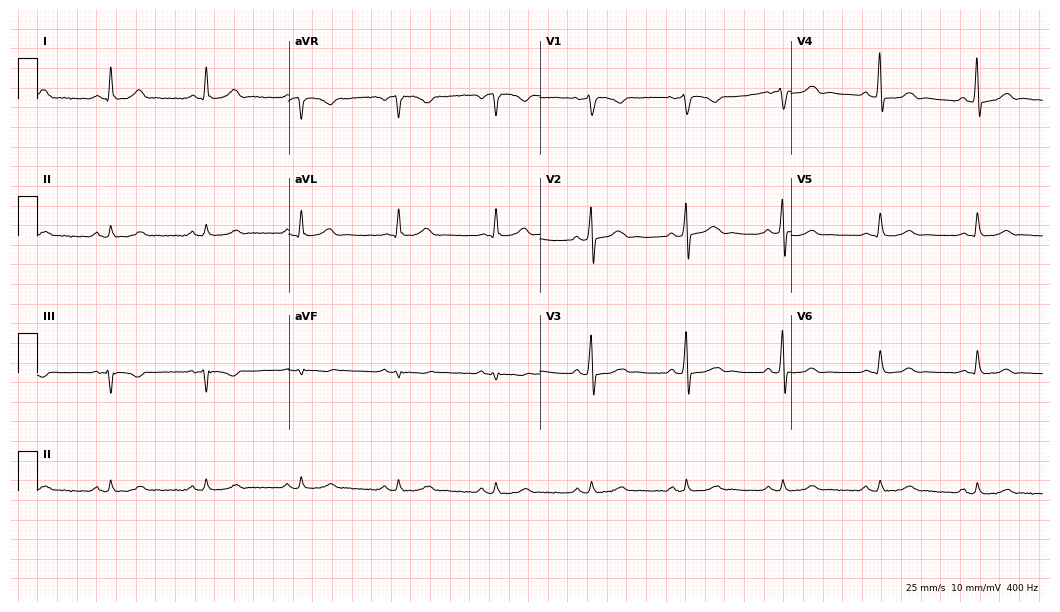
Standard 12-lead ECG recorded from a 62-year-old male patient (10.2-second recording at 400 Hz). Read as a normal ECG.